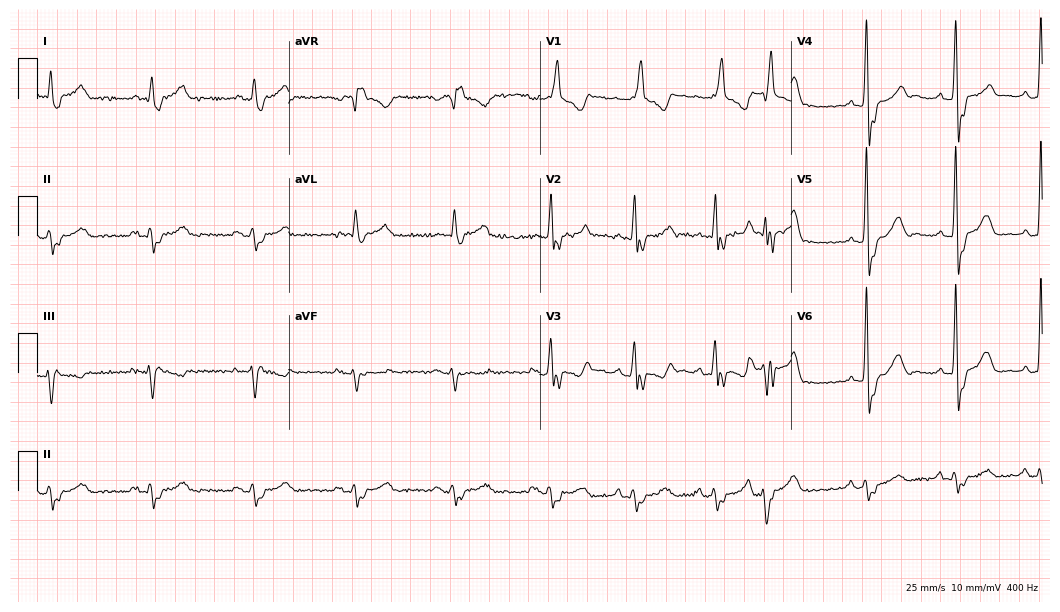
Resting 12-lead electrocardiogram. Patient: a 67-year-old male. The tracing shows right bundle branch block (RBBB).